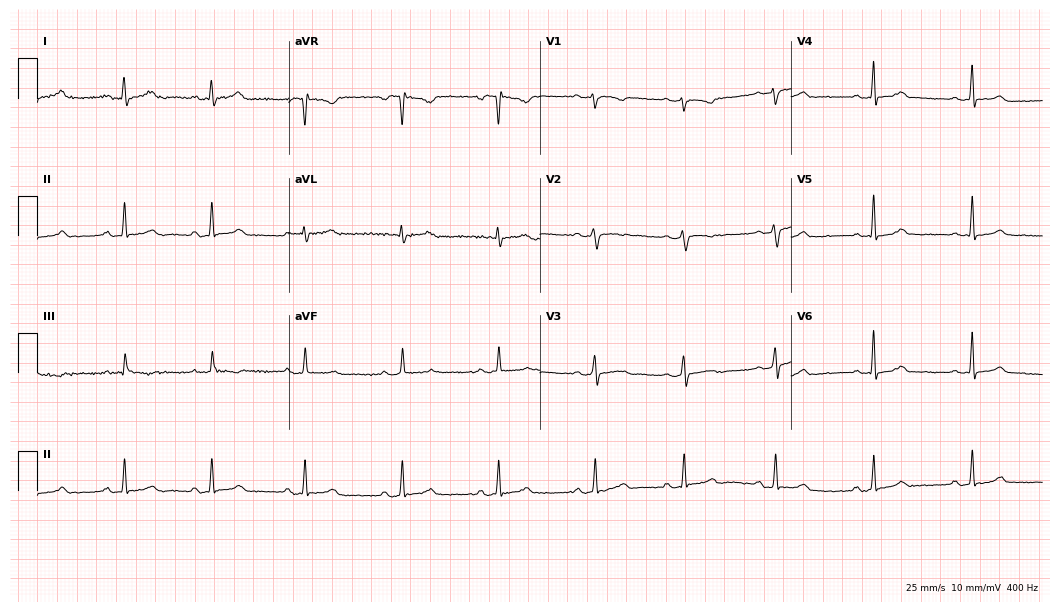
Electrocardiogram (10.2-second recording at 400 Hz), a female patient, 34 years old. Overall reading on record: normal ECG.